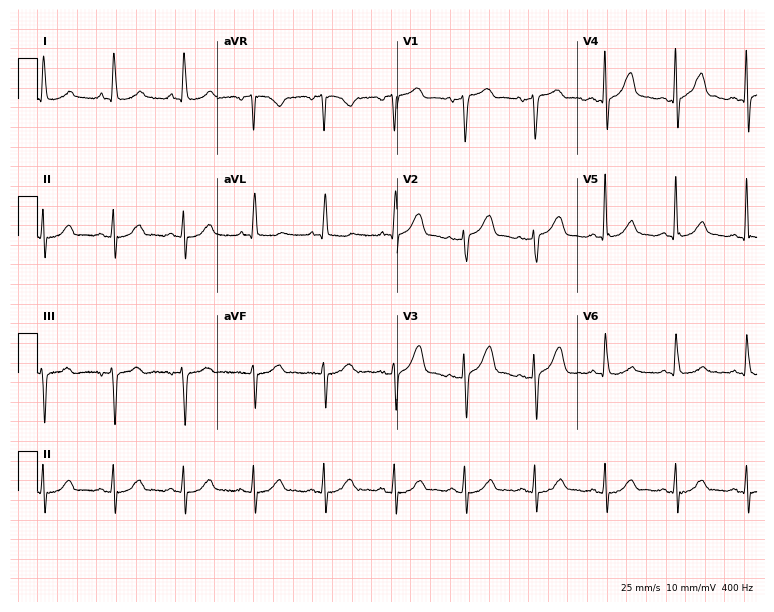
Standard 12-lead ECG recorded from a 74-year-old female. None of these six findings is recorded: first-degree AV block, right bundle branch block (RBBB), left bundle branch block (LBBB), sinus bradycardia, atrial fibrillation (AF), sinus tachycardia. Only these six findings were labelled.